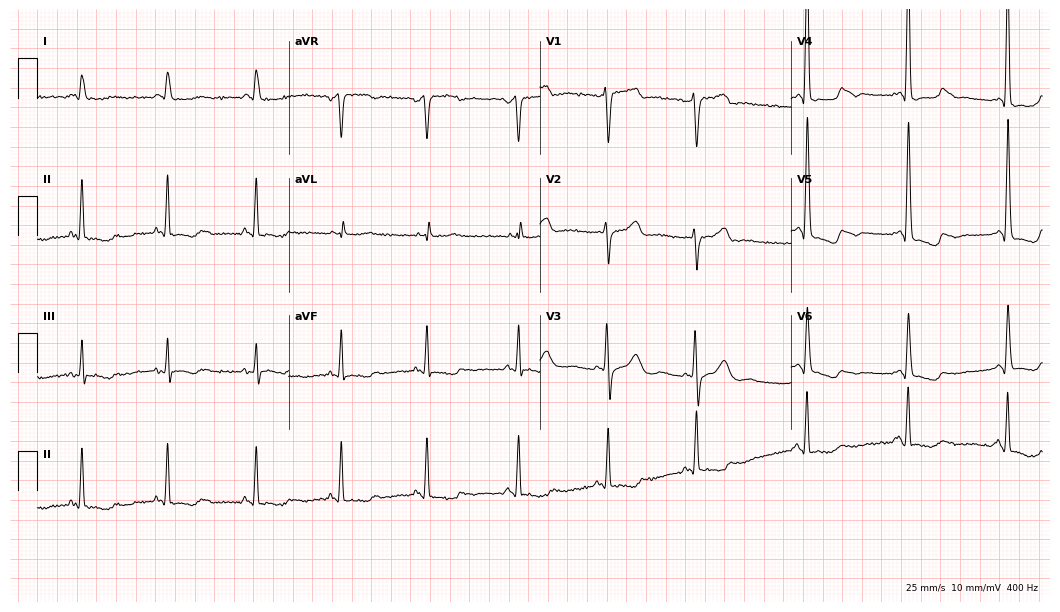
Electrocardiogram (10.2-second recording at 400 Hz), a woman, 79 years old. Of the six screened findings (first-degree AV block, right bundle branch block, left bundle branch block, sinus bradycardia, atrial fibrillation, sinus tachycardia), none is recorded.